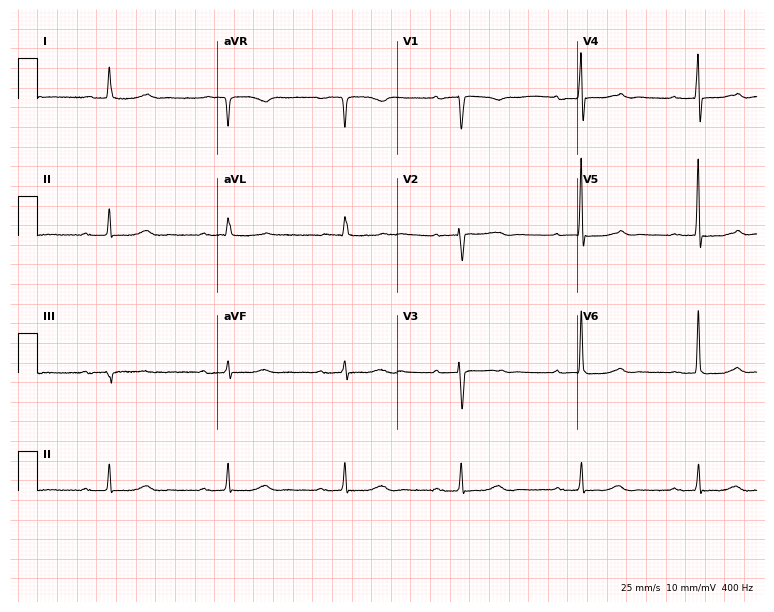
Resting 12-lead electrocardiogram. Patient: a female, 82 years old. The tracing shows first-degree AV block.